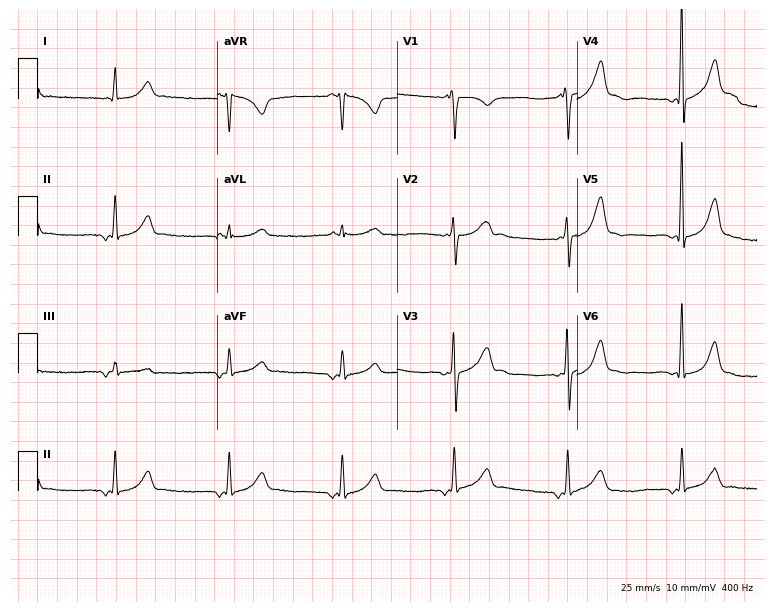
Standard 12-lead ECG recorded from a male, 36 years old (7.3-second recording at 400 Hz). None of these six findings is recorded: first-degree AV block, right bundle branch block (RBBB), left bundle branch block (LBBB), sinus bradycardia, atrial fibrillation (AF), sinus tachycardia.